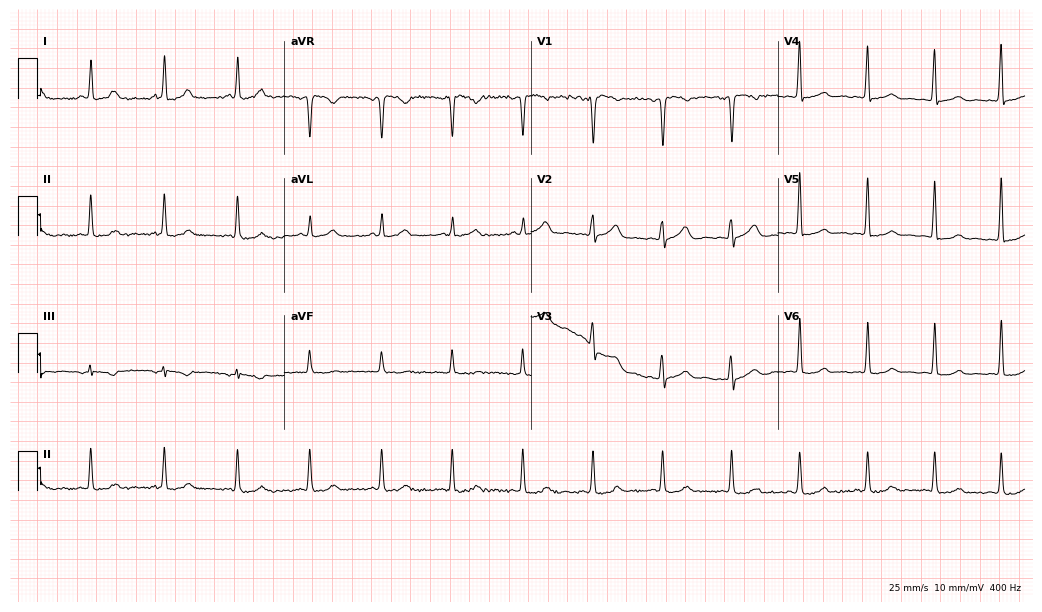
12-lead ECG from a female patient, 46 years old (10.1-second recording at 400 Hz). Recorded interpretation: within normal limits.